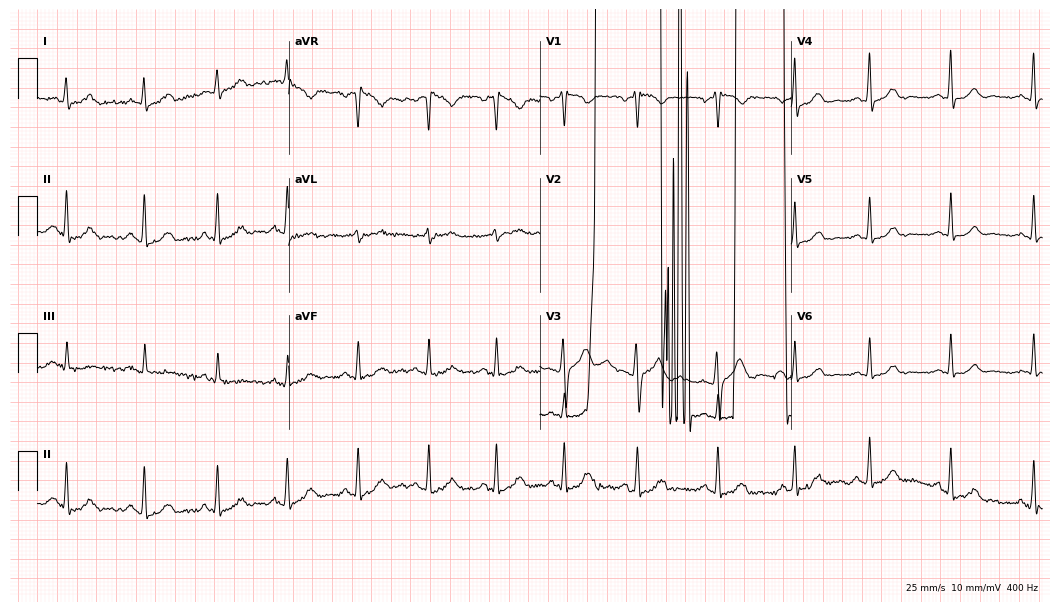
Standard 12-lead ECG recorded from a 35-year-old female. None of these six findings is recorded: first-degree AV block, right bundle branch block, left bundle branch block, sinus bradycardia, atrial fibrillation, sinus tachycardia.